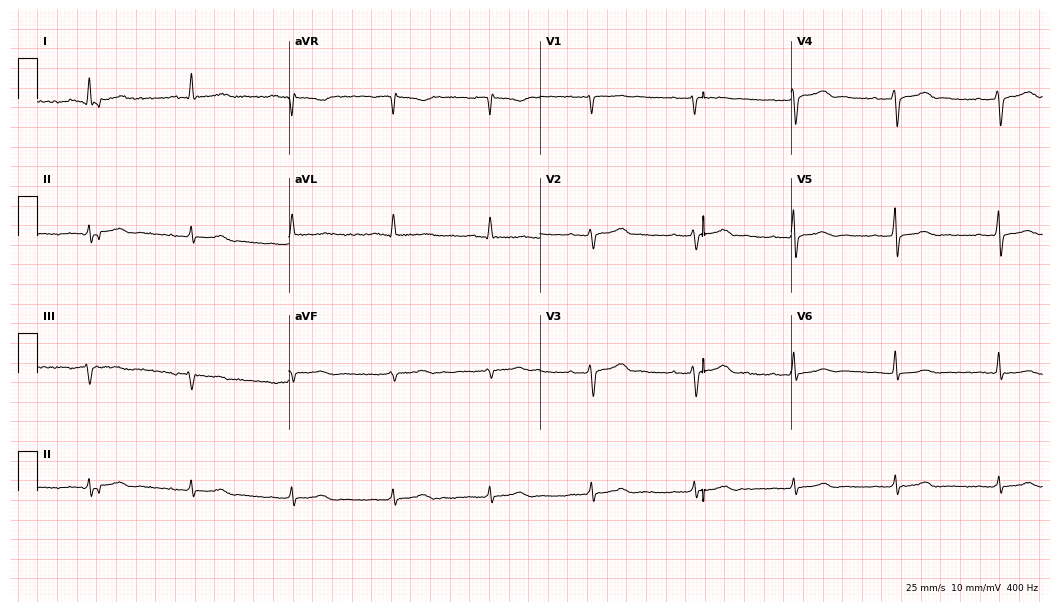
Resting 12-lead electrocardiogram. Patient: a 77-year-old man. Read as a normal ECG.